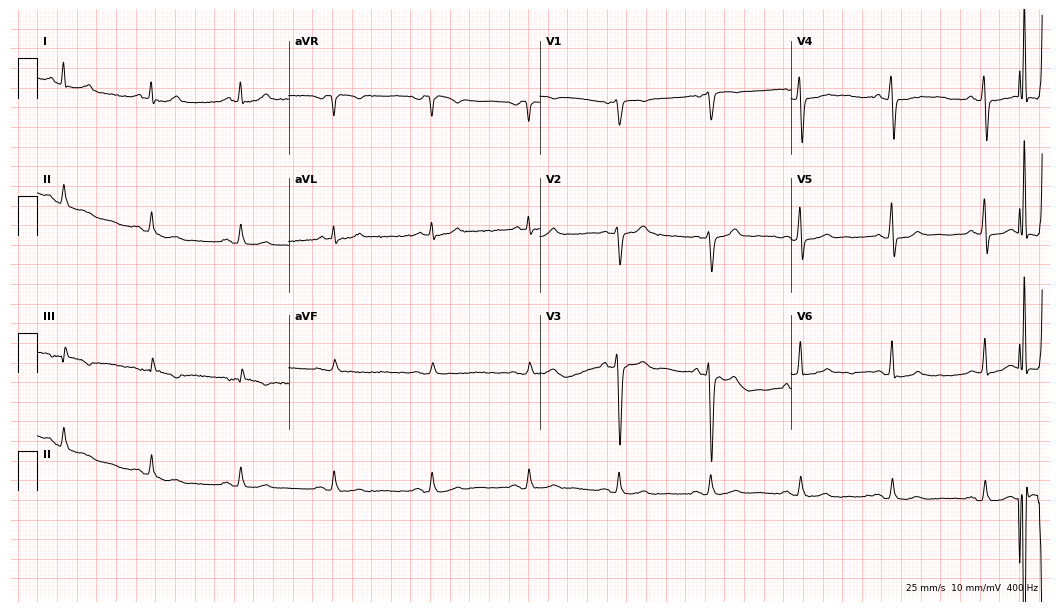
Resting 12-lead electrocardiogram (10.2-second recording at 400 Hz). Patient: a 45-year-old man. Read as a normal ECG.